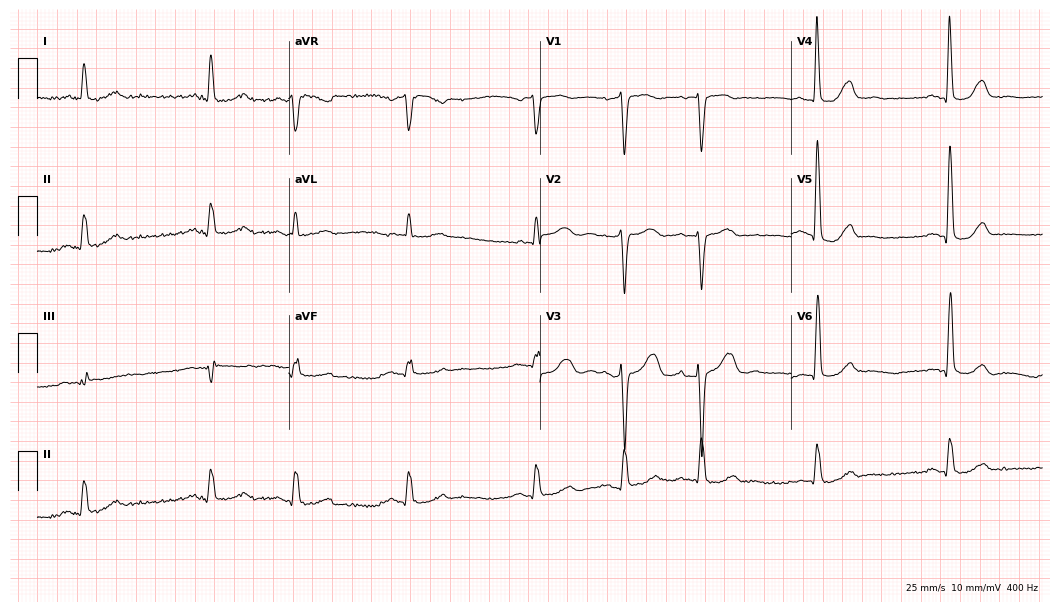
12-lead ECG from a male, 82 years old. Screened for six findings — first-degree AV block, right bundle branch block, left bundle branch block, sinus bradycardia, atrial fibrillation, sinus tachycardia — none is recorded. Only these six findings were labelled.